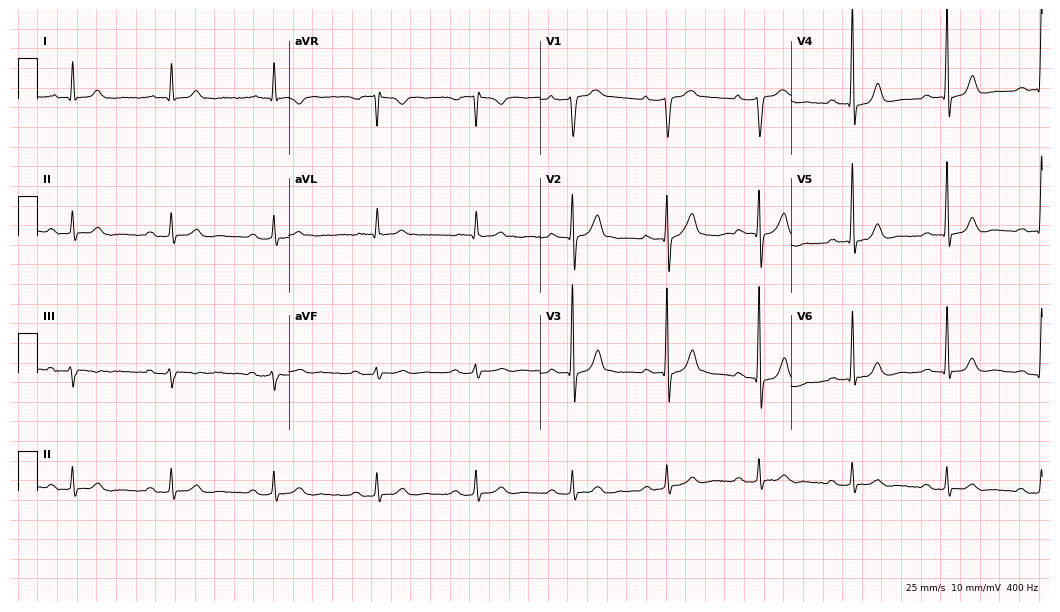
Standard 12-lead ECG recorded from a 70-year-old male. The tracing shows first-degree AV block.